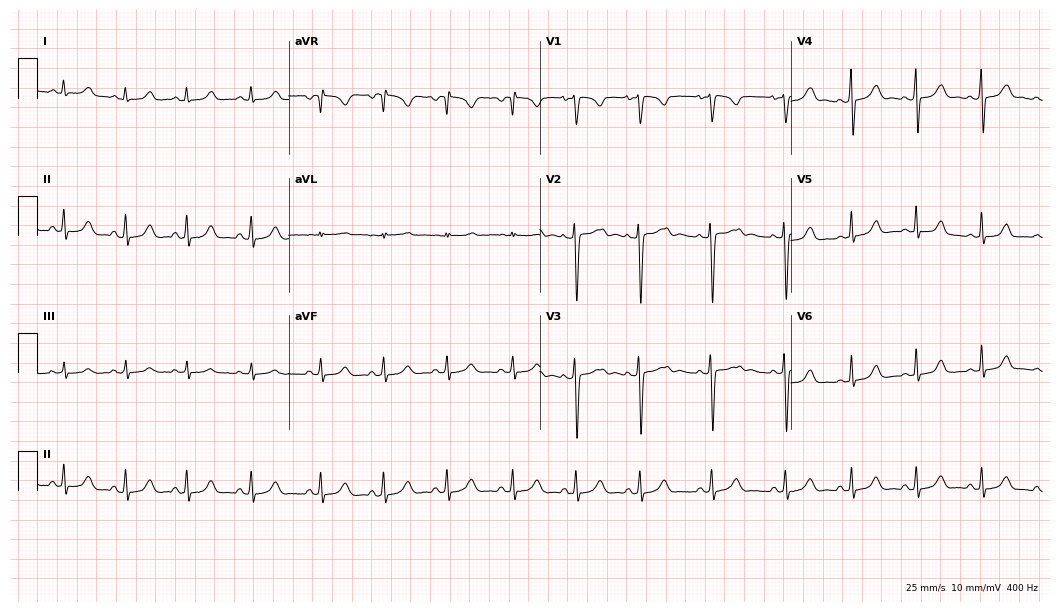
12-lead ECG (10.2-second recording at 400 Hz) from a 17-year-old female. Screened for six findings — first-degree AV block, right bundle branch block, left bundle branch block, sinus bradycardia, atrial fibrillation, sinus tachycardia — none is recorded.